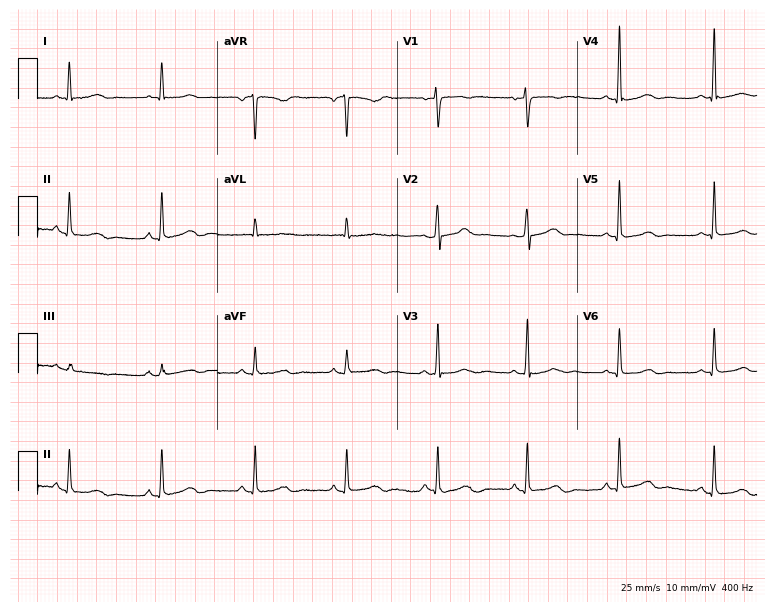
12-lead ECG from a woman, 62 years old. Labelled as a normal ECG.